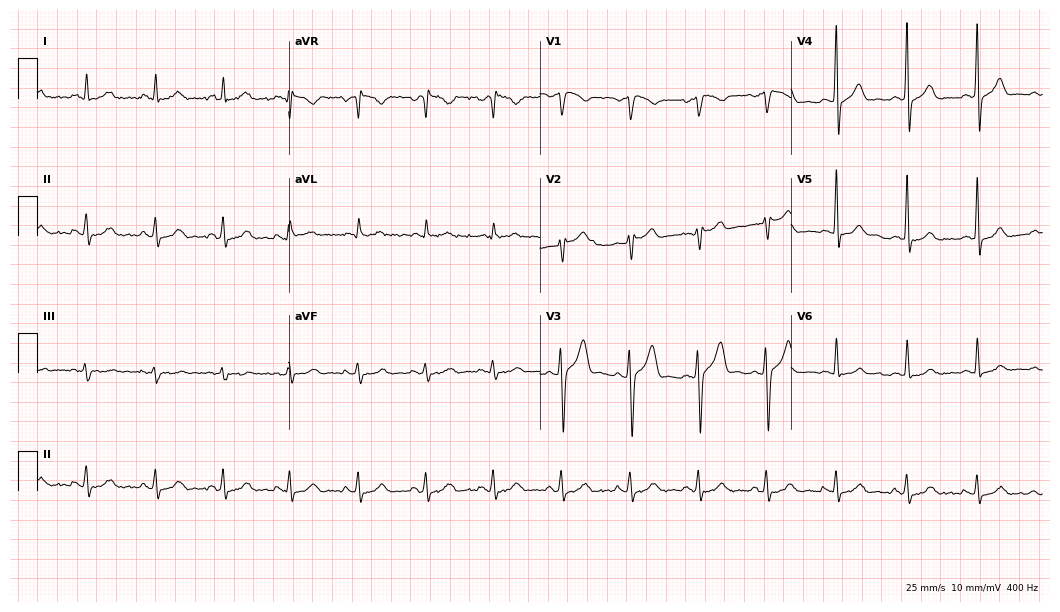
12-lead ECG (10.2-second recording at 400 Hz) from a 40-year-old man. Labelled as a normal ECG.